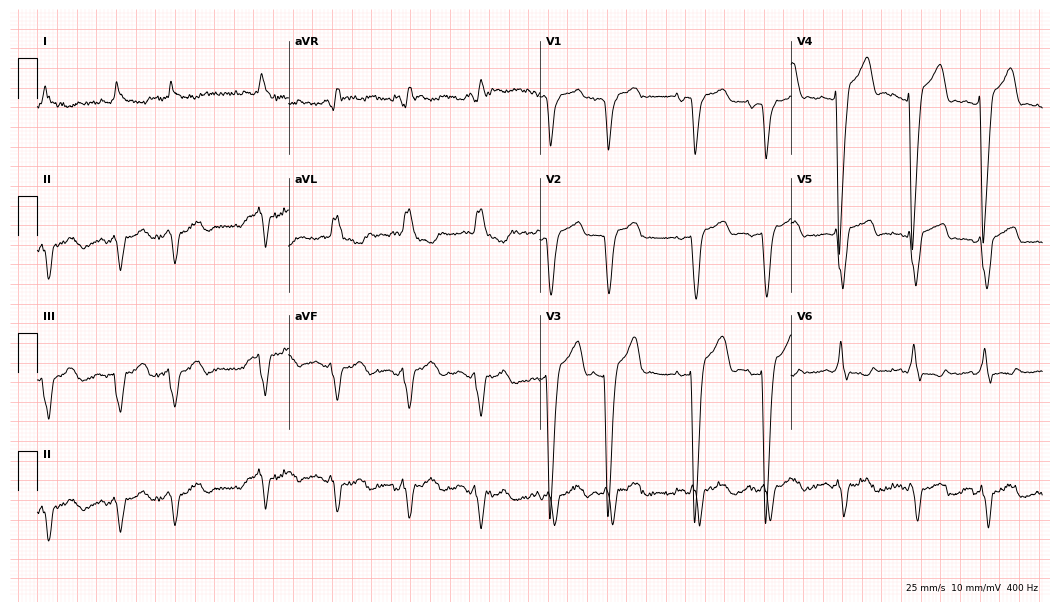
Standard 12-lead ECG recorded from a 79-year-old male (10.2-second recording at 400 Hz). None of these six findings is recorded: first-degree AV block, right bundle branch block, left bundle branch block, sinus bradycardia, atrial fibrillation, sinus tachycardia.